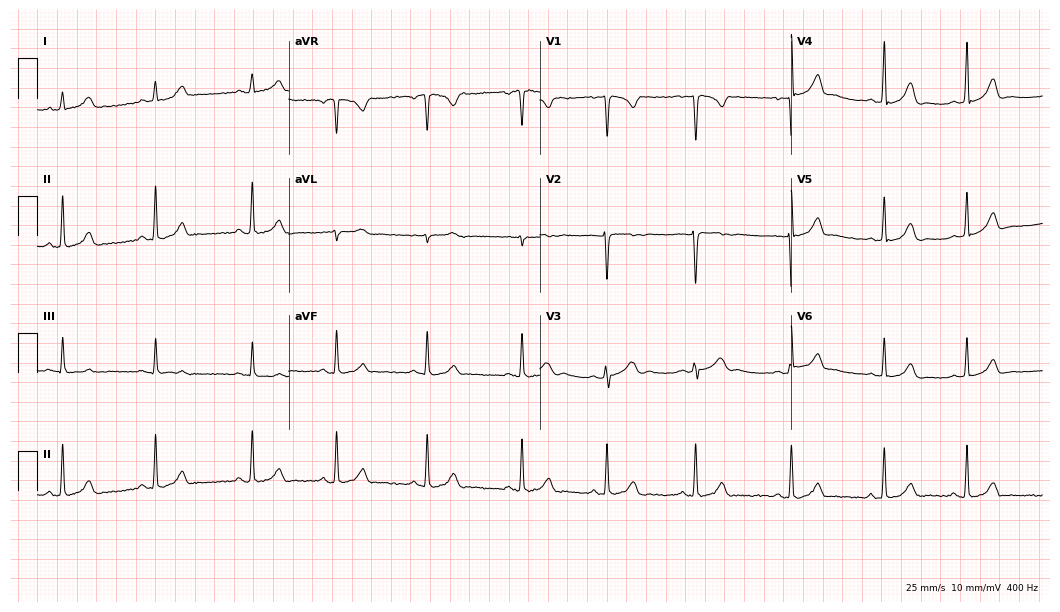
ECG (10.2-second recording at 400 Hz) — a woman, 17 years old. Labelled as a normal ECG.